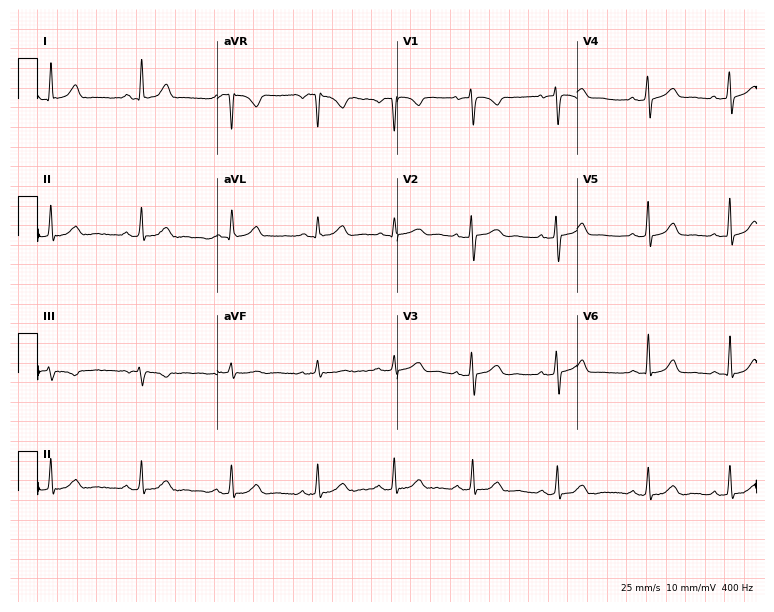
Electrocardiogram, a 31-year-old female patient. Of the six screened findings (first-degree AV block, right bundle branch block, left bundle branch block, sinus bradycardia, atrial fibrillation, sinus tachycardia), none is recorded. Only these six findings were labelled.